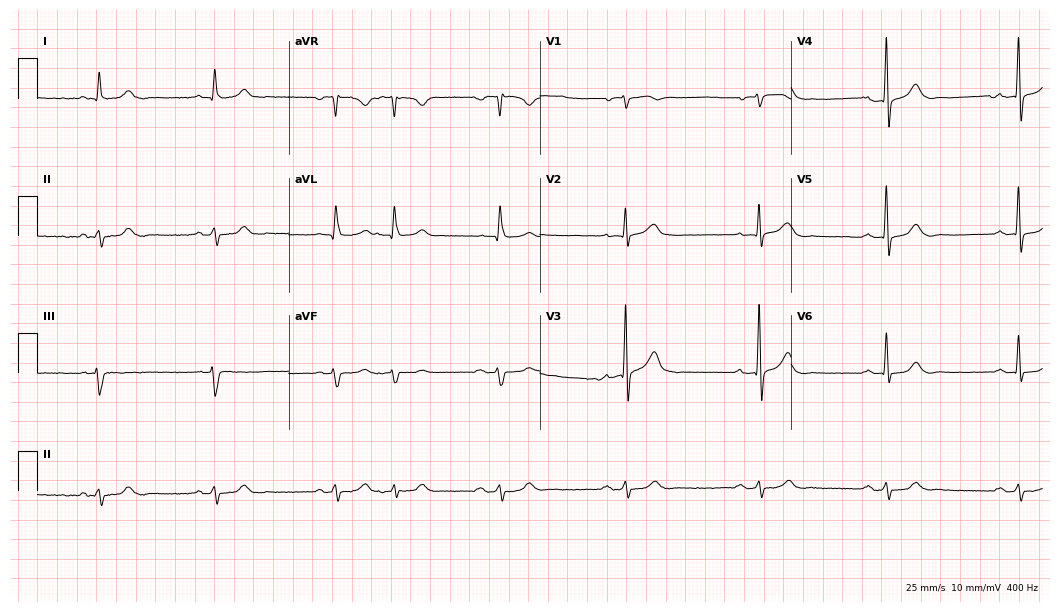
ECG — a 73-year-old male. Screened for six findings — first-degree AV block, right bundle branch block, left bundle branch block, sinus bradycardia, atrial fibrillation, sinus tachycardia — none is recorded. Other findings, if any, are not listed.